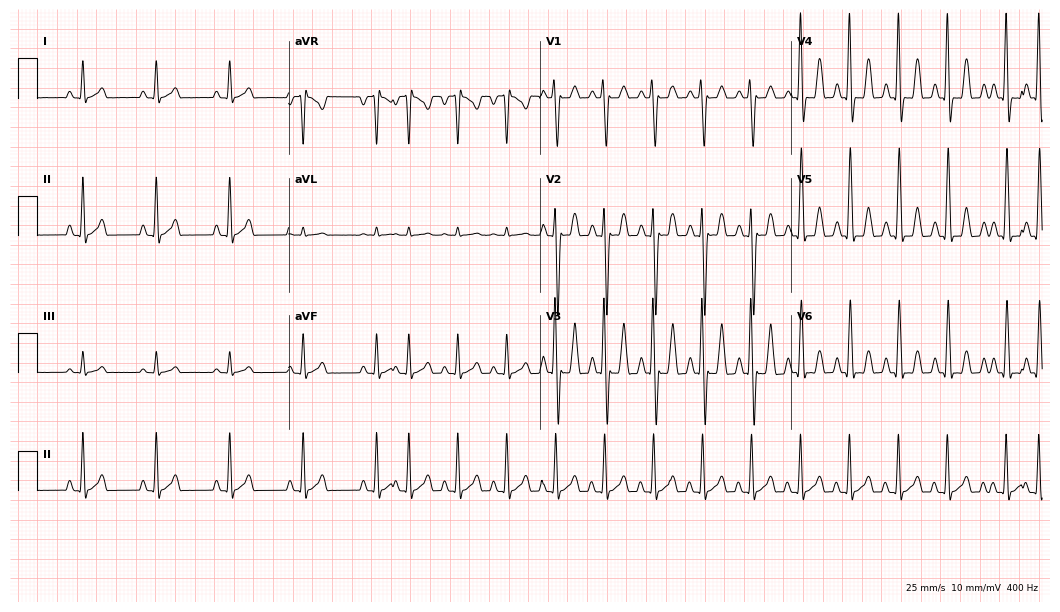
12-lead ECG from a 75-year-old woman (10.2-second recording at 400 Hz). No first-degree AV block, right bundle branch block, left bundle branch block, sinus bradycardia, atrial fibrillation or sinus tachycardia recorded for this tracing. Other findings, if any, are not listed.